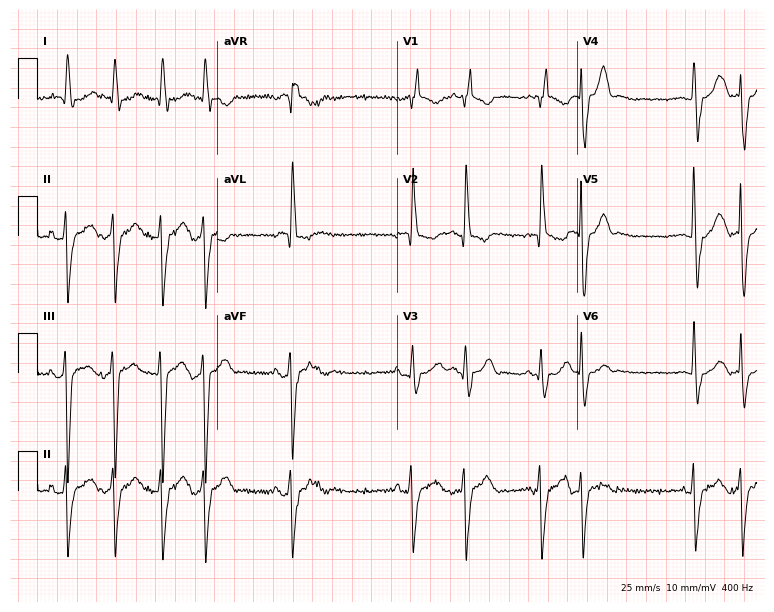
ECG — a 65-year-old female patient. Screened for six findings — first-degree AV block, right bundle branch block (RBBB), left bundle branch block (LBBB), sinus bradycardia, atrial fibrillation (AF), sinus tachycardia — none is recorded.